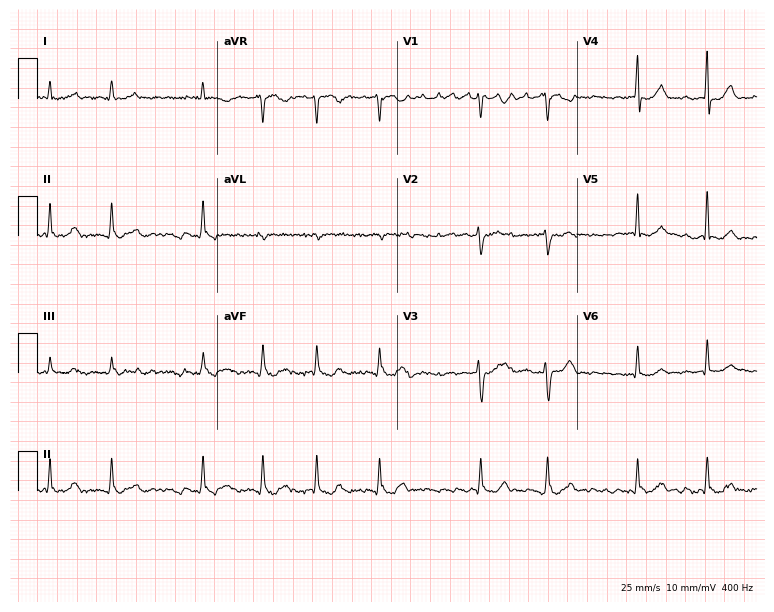
ECG — a 74-year-old man. Findings include atrial fibrillation (AF).